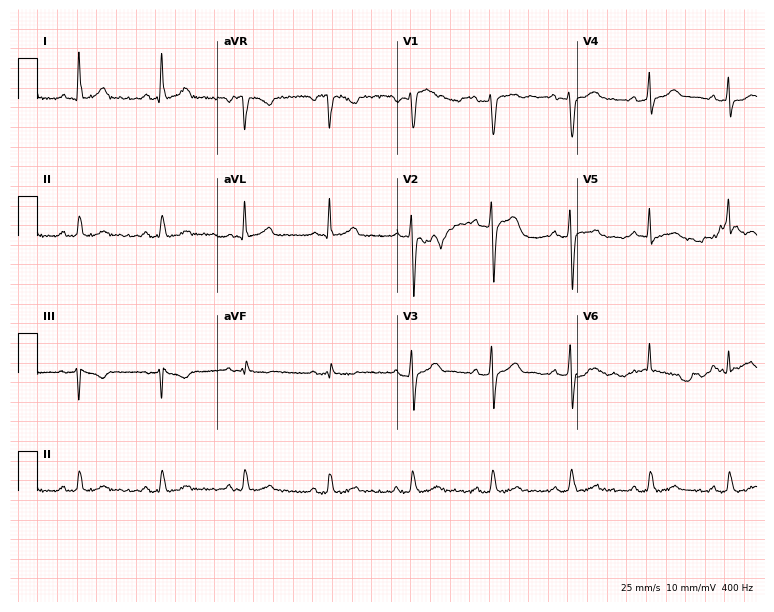
Standard 12-lead ECG recorded from a male patient, 43 years old. Read as a normal ECG.